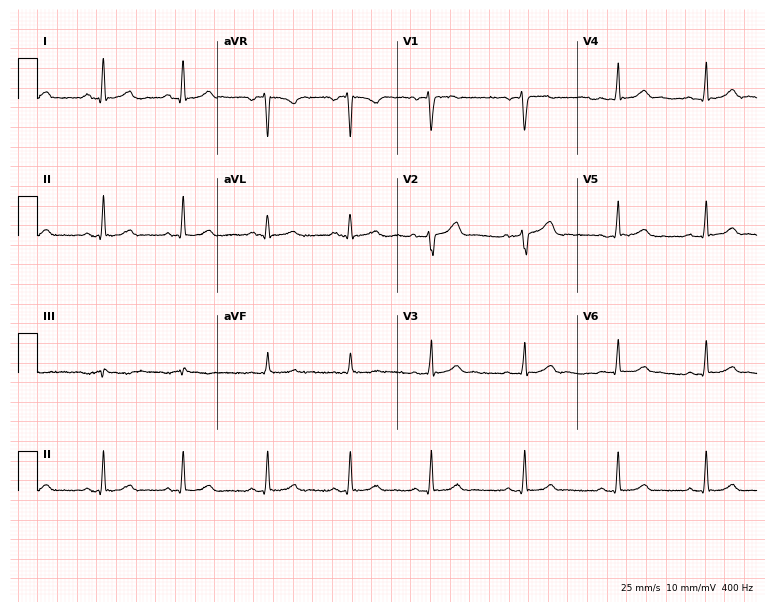
12-lead ECG from a 37-year-old female. Screened for six findings — first-degree AV block, right bundle branch block, left bundle branch block, sinus bradycardia, atrial fibrillation, sinus tachycardia — none is recorded. Other findings, if any, are not listed.